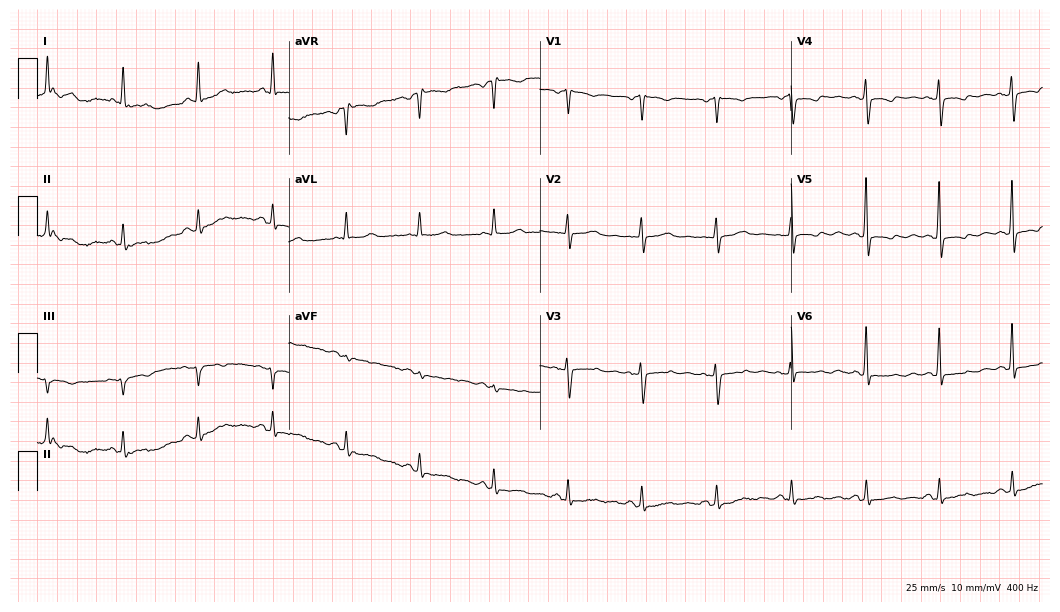
Standard 12-lead ECG recorded from a 61-year-old female patient. None of these six findings is recorded: first-degree AV block, right bundle branch block, left bundle branch block, sinus bradycardia, atrial fibrillation, sinus tachycardia. Findings outside these six are not listed.